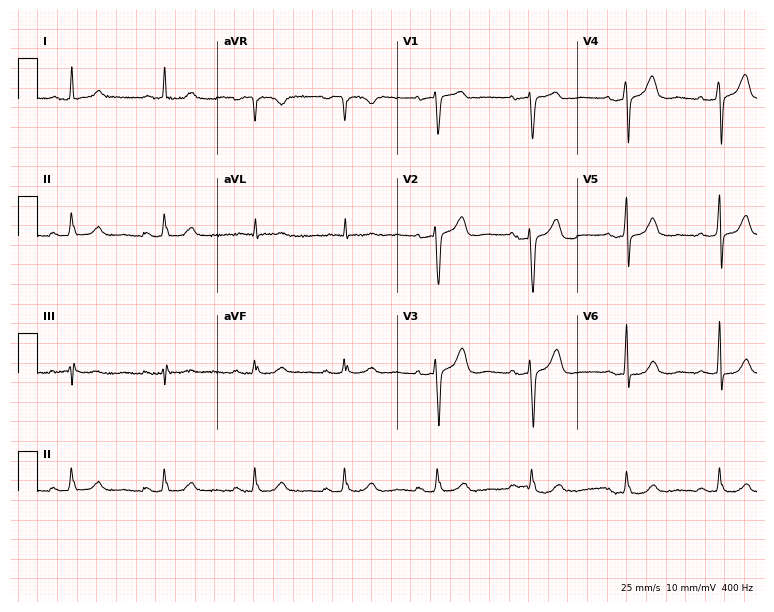
ECG — a 62-year-old woman. Labelled as a normal ECG.